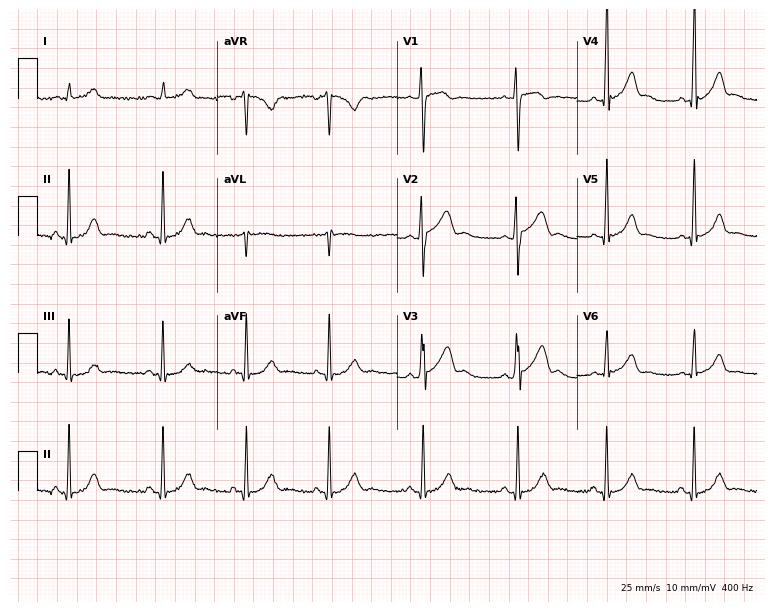
Standard 12-lead ECG recorded from a man, 23 years old (7.3-second recording at 400 Hz). None of these six findings is recorded: first-degree AV block, right bundle branch block (RBBB), left bundle branch block (LBBB), sinus bradycardia, atrial fibrillation (AF), sinus tachycardia.